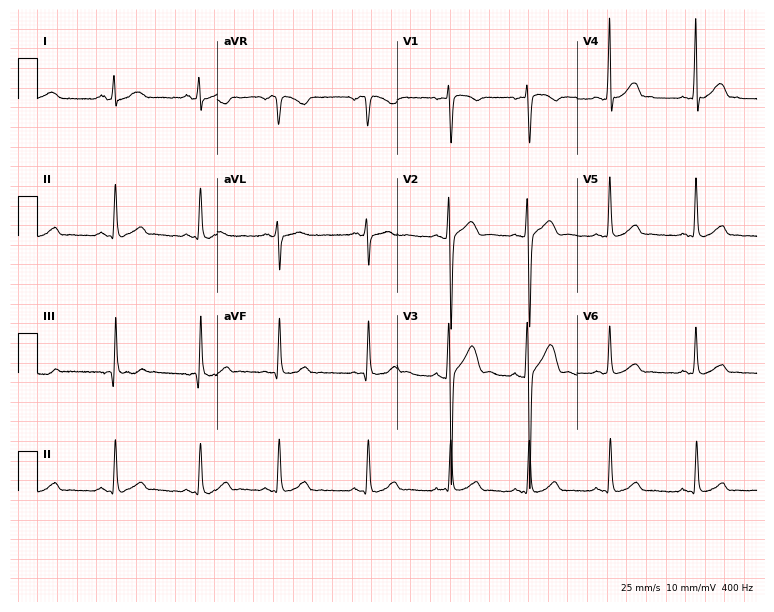
12-lead ECG from a male, 27 years old (7.3-second recording at 400 Hz). Recorded interpretation: within normal limits.